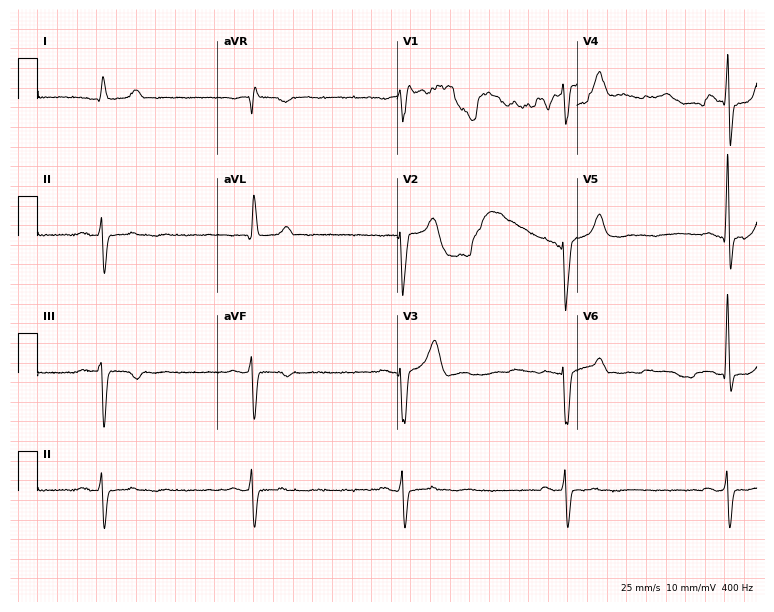
ECG — a male, 81 years old. Findings include sinus bradycardia (a sinus rate of 50 beats per minute or less).